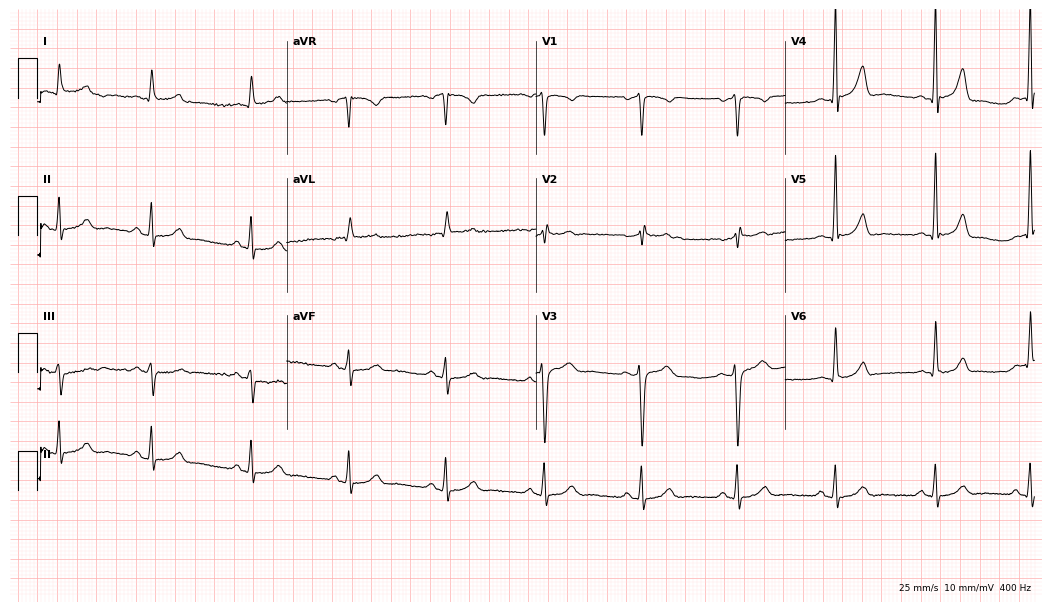
Electrocardiogram (10.2-second recording at 400 Hz), a 42-year-old male patient. Of the six screened findings (first-degree AV block, right bundle branch block, left bundle branch block, sinus bradycardia, atrial fibrillation, sinus tachycardia), none is recorded. Findings outside these six are not listed.